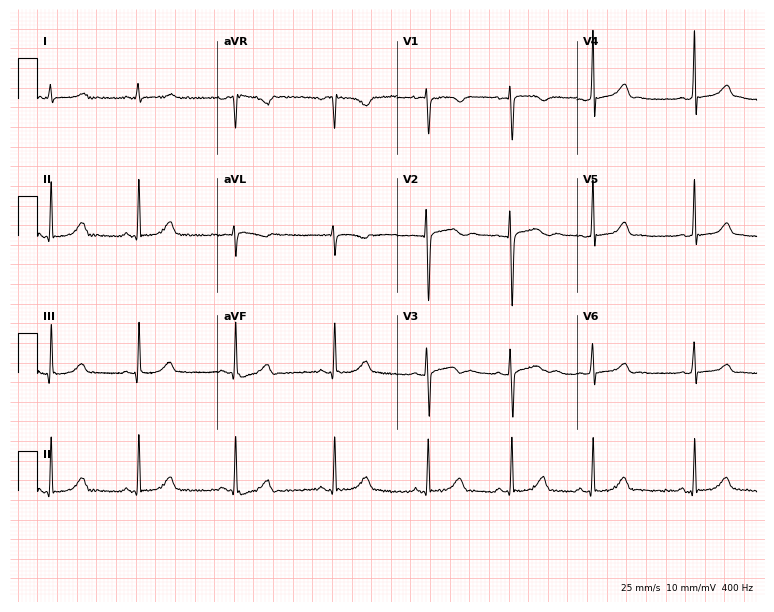
Resting 12-lead electrocardiogram. Patient: a 17-year-old female. Read as a normal ECG.